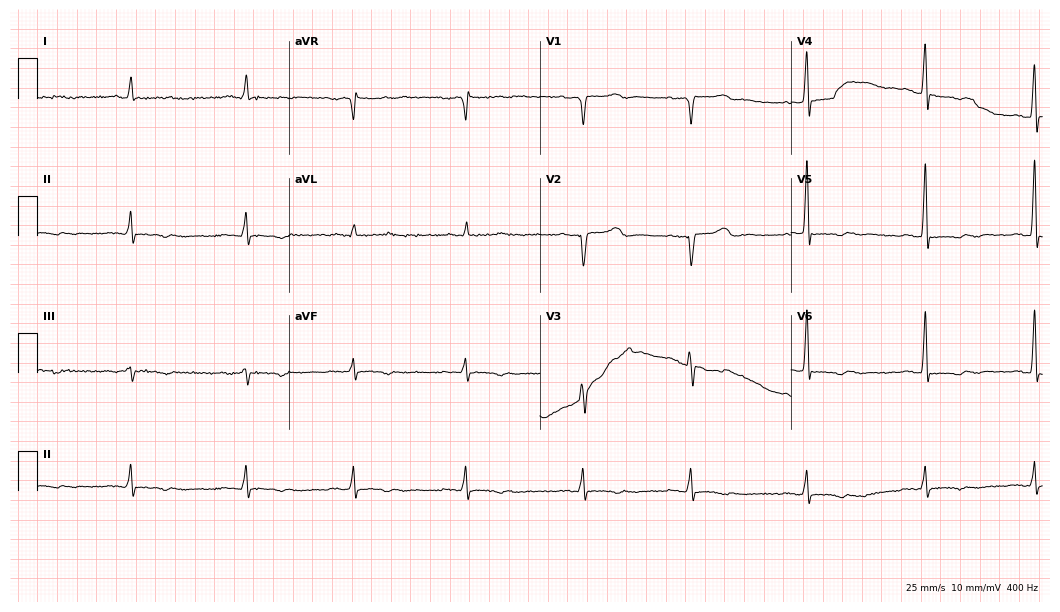
Electrocardiogram (10.2-second recording at 400 Hz), a 59-year-old woman. Overall reading on record: normal ECG.